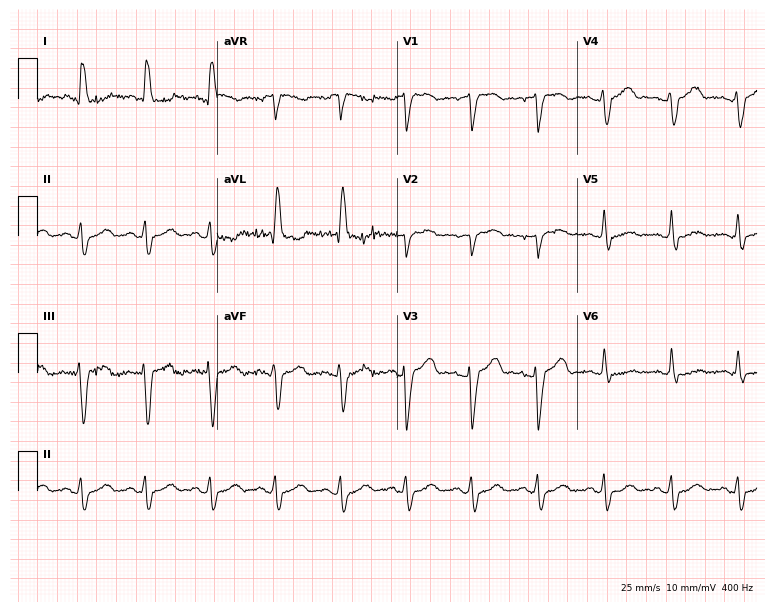
12-lead ECG (7.3-second recording at 400 Hz) from a 60-year-old woman. Findings include left bundle branch block.